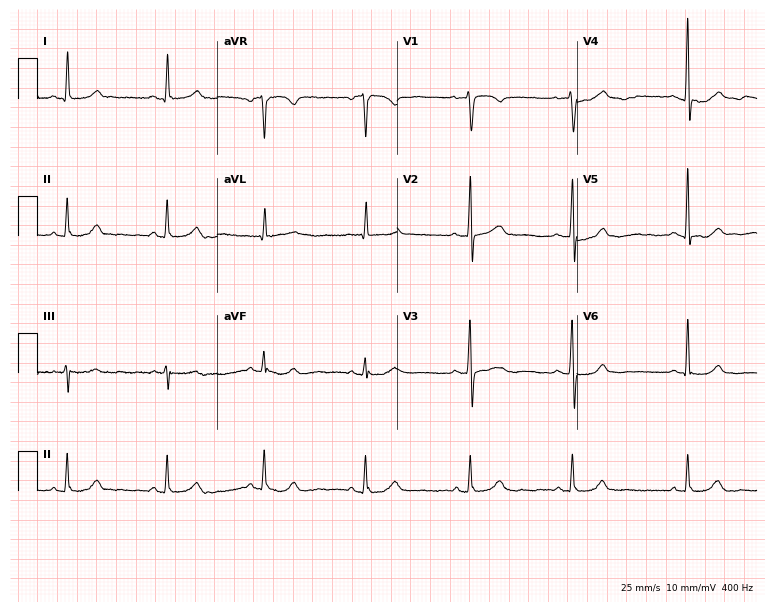
Electrocardiogram (7.3-second recording at 400 Hz), a woman, 54 years old. Of the six screened findings (first-degree AV block, right bundle branch block (RBBB), left bundle branch block (LBBB), sinus bradycardia, atrial fibrillation (AF), sinus tachycardia), none is recorded.